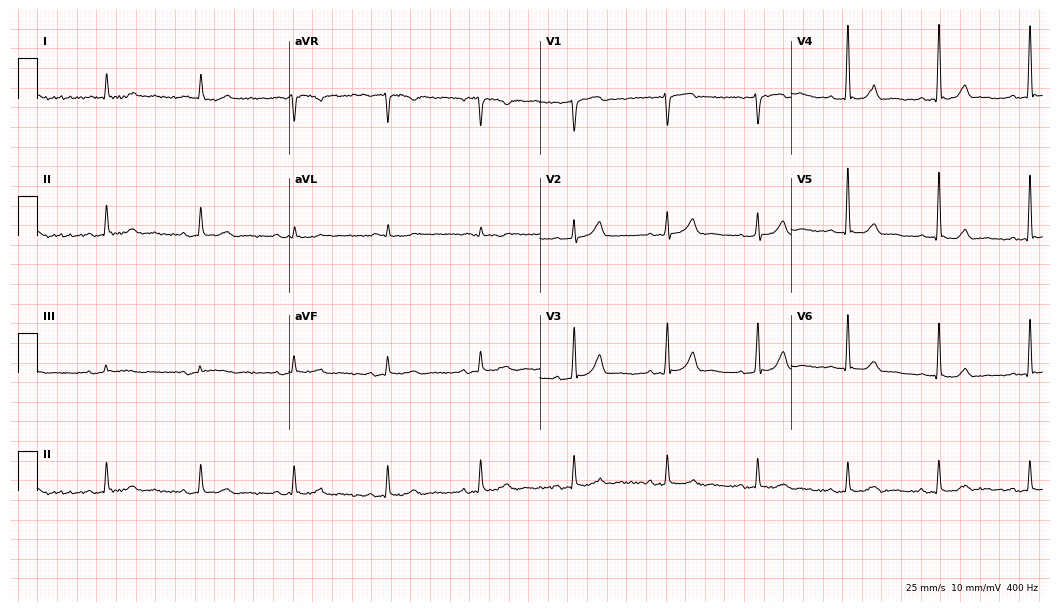
ECG — a 76-year-old man. Labelled as a normal ECG.